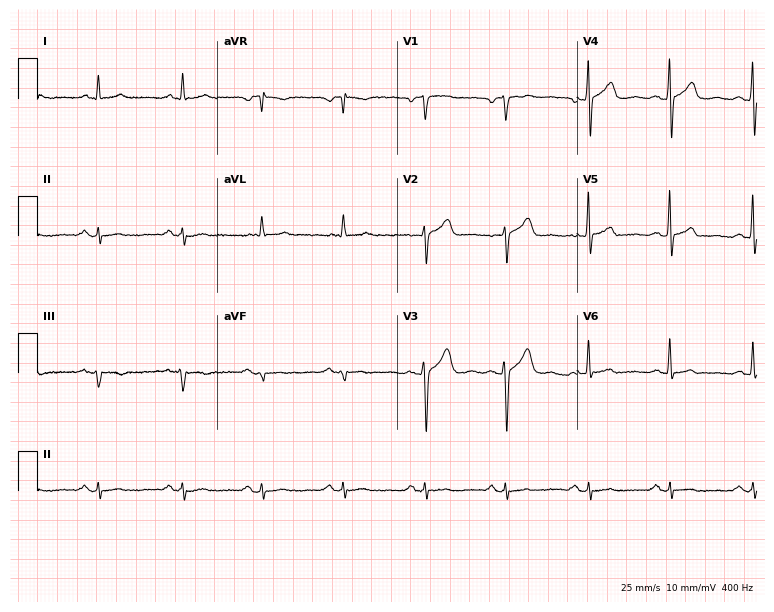
Resting 12-lead electrocardiogram. Patient: a 57-year-old male. Read as a normal ECG.